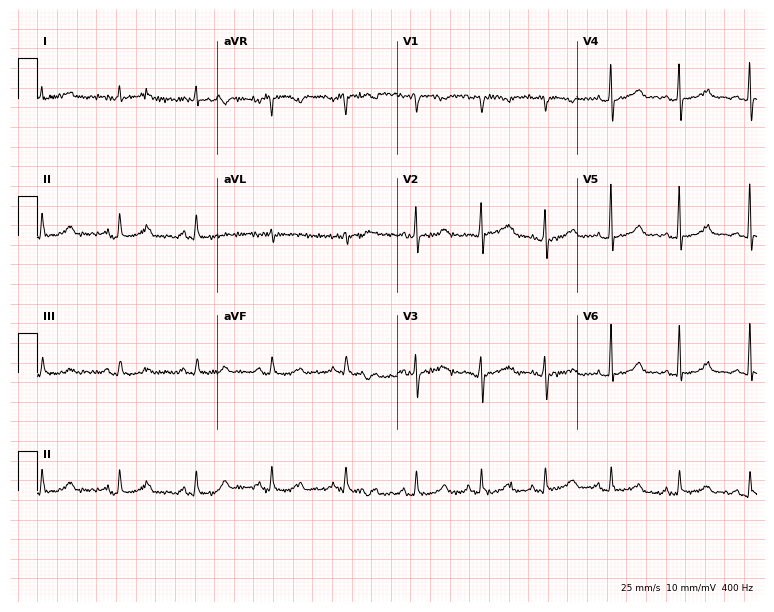
12-lead ECG from a 40-year-old woman. Labelled as a normal ECG.